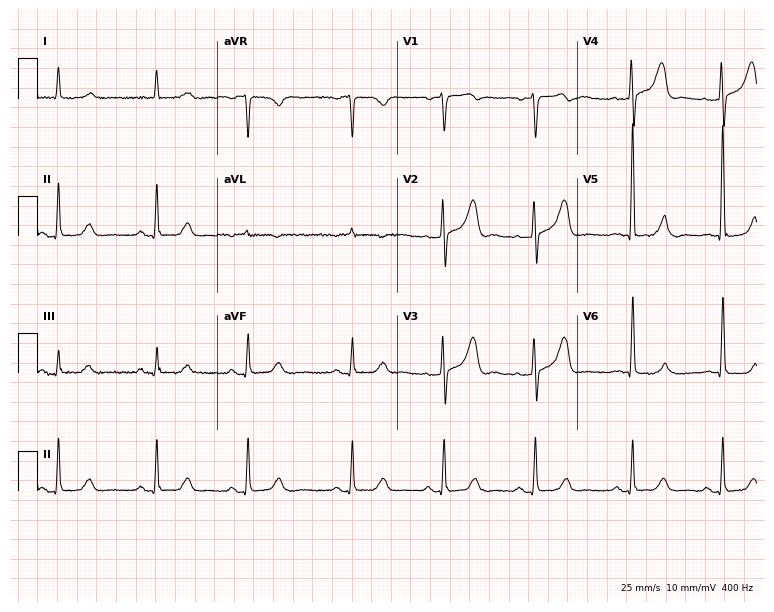
12-lead ECG from a female, 83 years old. Screened for six findings — first-degree AV block, right bundle branch block (RBBB), left bundle branch block (LBBB), sinus bradycardia, atrial fibrillation (AF), sinus tachycardia — none is recorded. Findings outside these six are not listed.